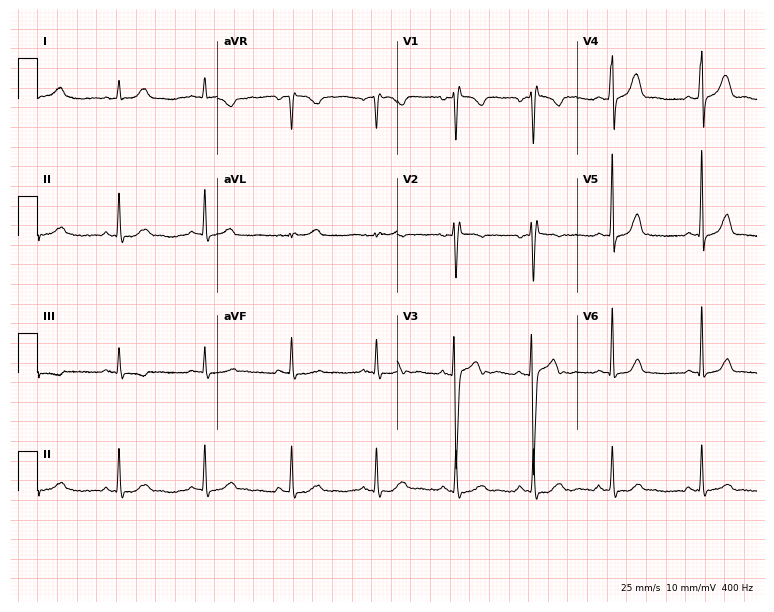
12-lead ECG from a 31-year-old female (7.3-second recording at 400 Hz). No first-degree AV block, right bundle branch block (RBBB), left bundle branch block (LBBB), sinus bradycardia, atrial fibrillation (AF) or sinus tachycardia recorded for this tracing.